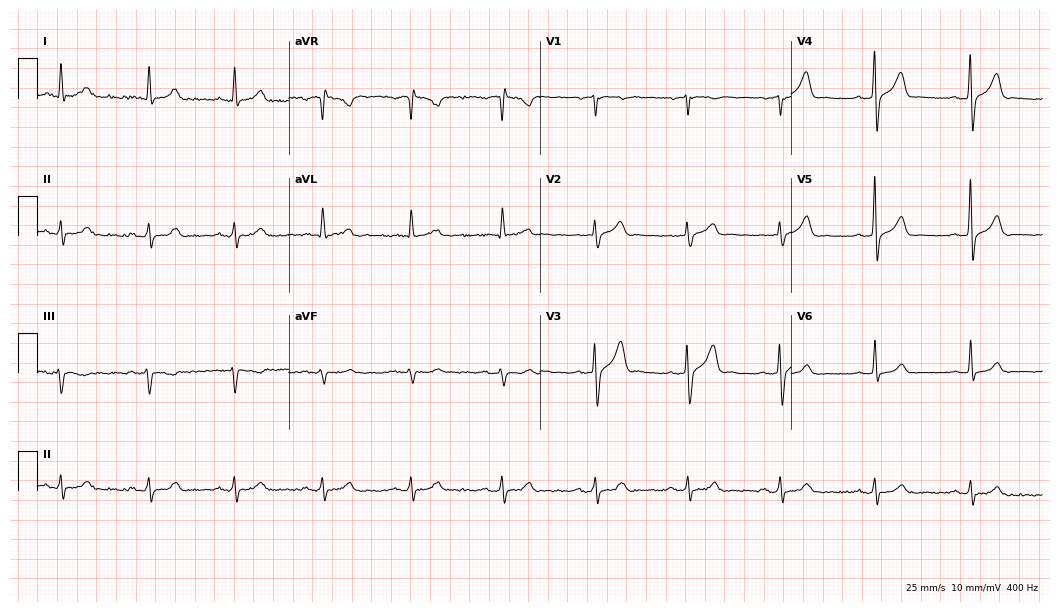
12-lead ECG (10.2-second recording at 400 Hz) from a 59-year-old male. Labelled as a normal ECG.